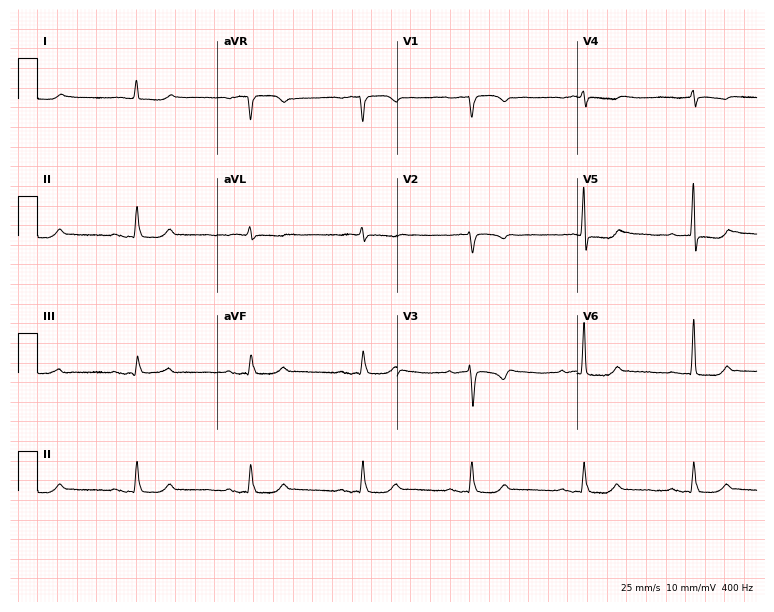
Resting 12-lead electrocardiogram (7.3-second recording at 400 Hz). Patient: a 73-year-old female. None of these six findings is recorded: first-degree AV block, right bundle branch block, left bundle branch block, sinus bradycardia, atrial fibrillation, sinus tachycardia.